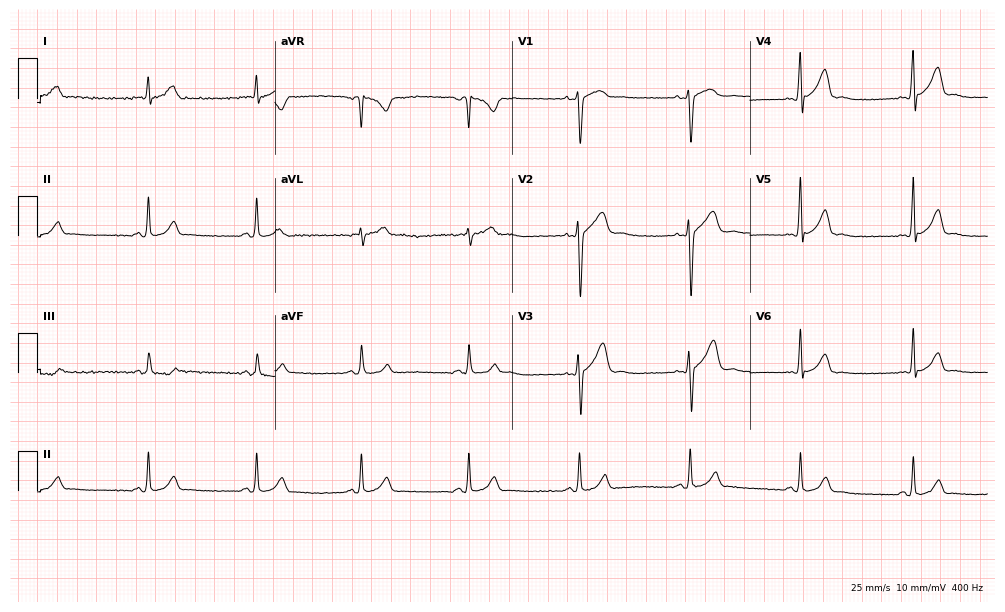
12-lead ECG from a male patient, 23 years old. Recorded interpretation: within normal limits.